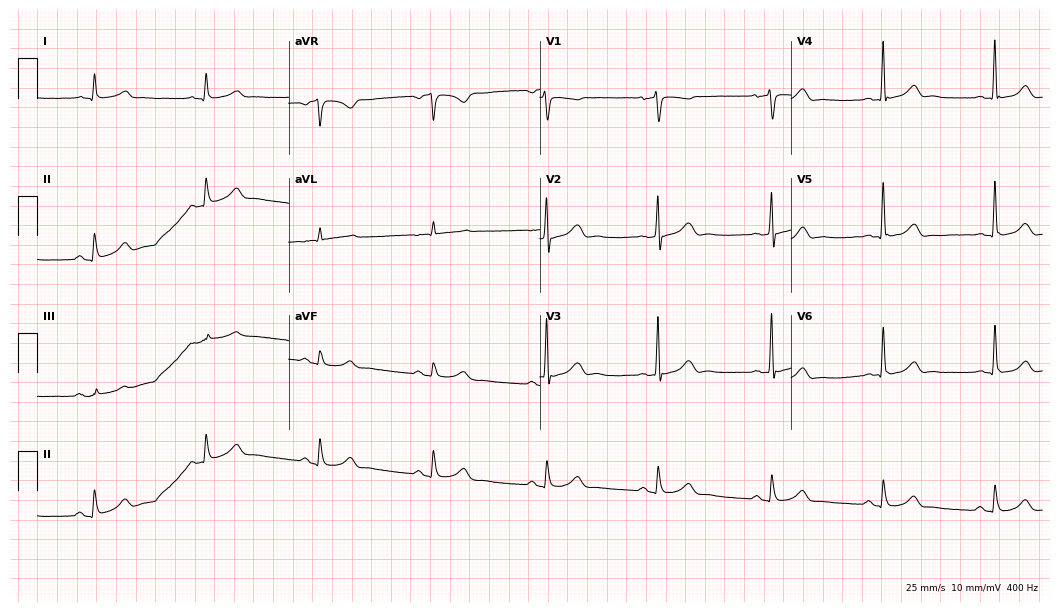
Resting 12-lead electrocardiogram (10.2-second recording at 400 Hz). Patient: a male, 61 years old. Read as a normal ECG.